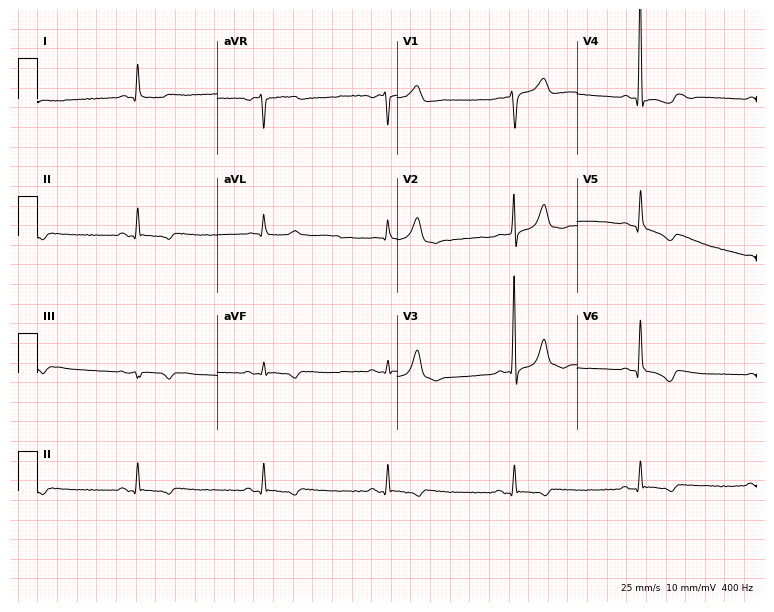
Standard 12-lead ECG recorded from a woman, 72 years old (7.3-second recording at 400 Hz). The tracing shows sinus bradycardia (a sinus rate of 50 beats per minute or less).